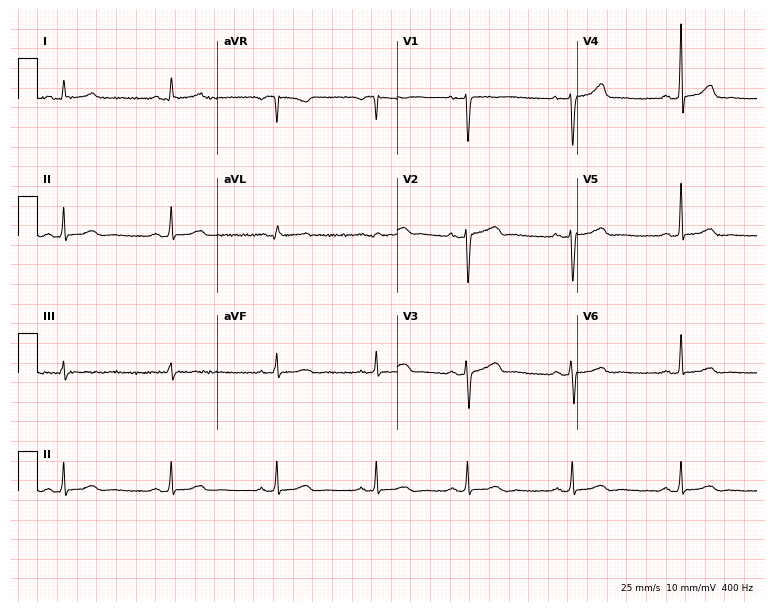
12-lead ECG (7.3-second recording at 400 Hz) from a female patient, 45 years old. Labelled as a normal ECG.